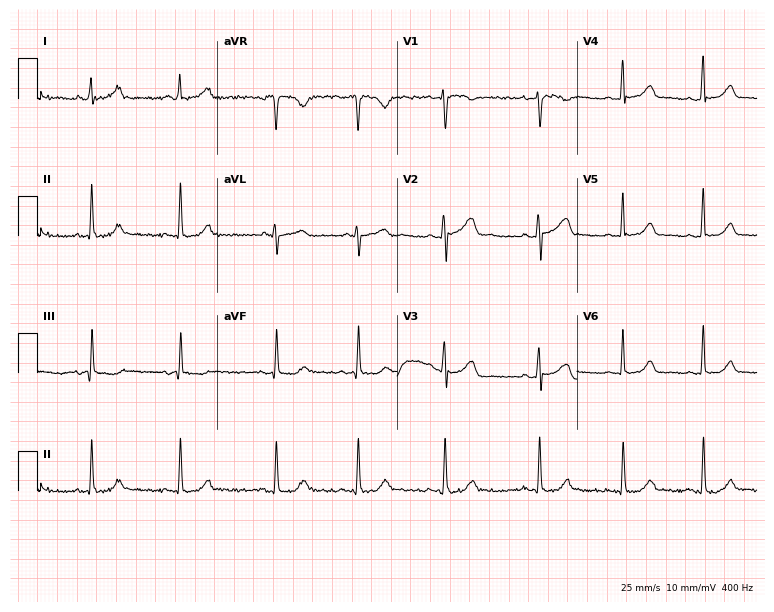
ECG (7.3-second recording at 400 Hz) — a female patient, 27 years old. Screened for six findings — first-degree AV block, right bundle branch block (RBBB), left bundle branch block (LBBB), sinus bradycardia, atrial fibrillation (AF), sinus tachycardia — none is recorded.